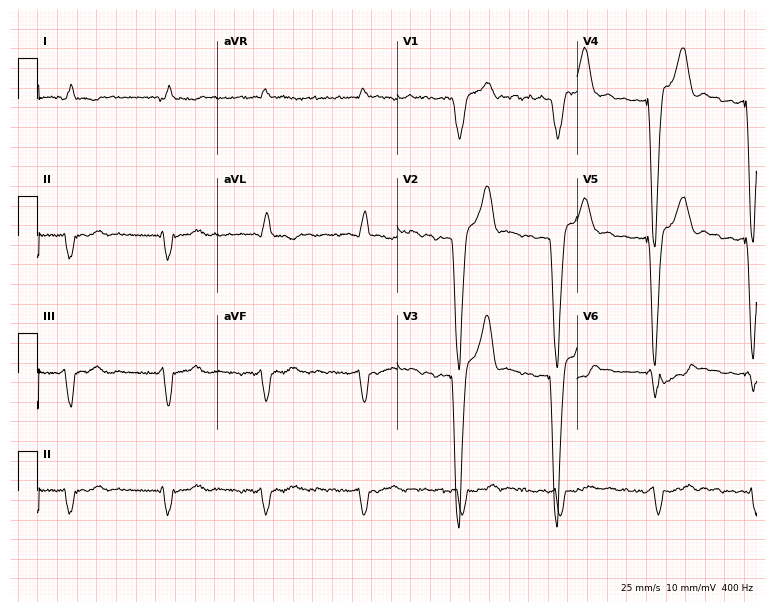
12-lead ECG from a male, 76 years old. Screened for six findings — first-degree AV block, right bundle branch block, left bundle branch block, sinus bradycardia, atrial fibrillation, sinus tachycardia — none is recorded.